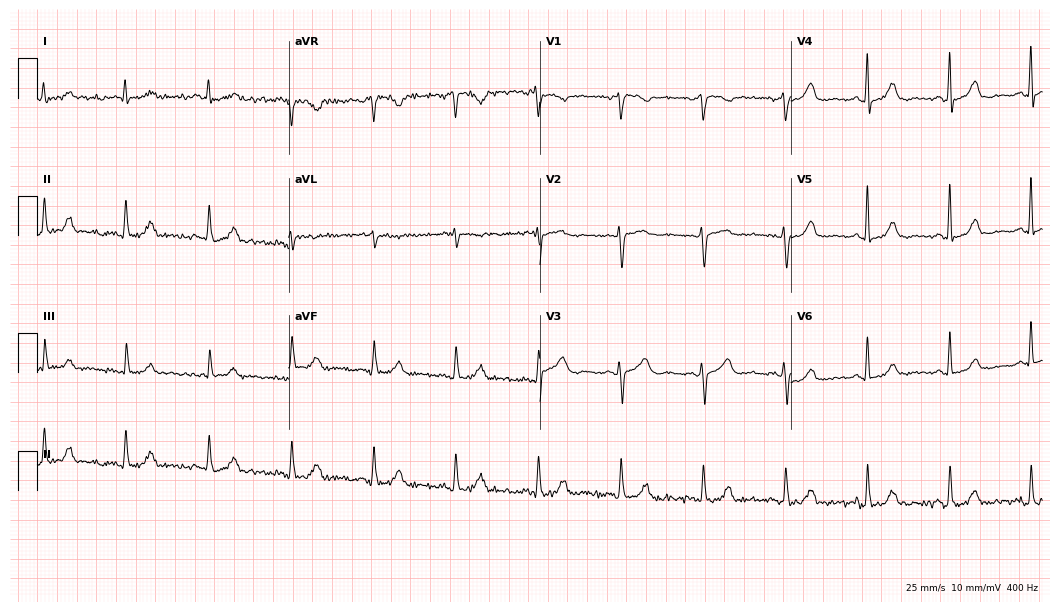
Electrocardiogram (10.2-second recording at 400 Hz), a 72-year-old woman. Overall reading on record: normal ECG.